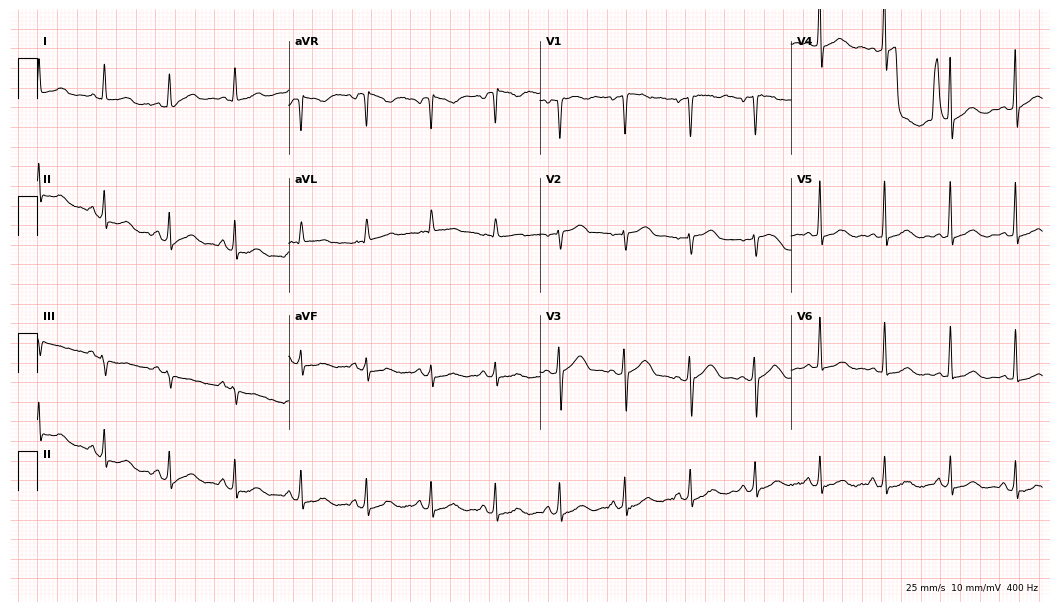
Electrocardiogram, a 47-year-old female. Overall reading on record: normal ECG.